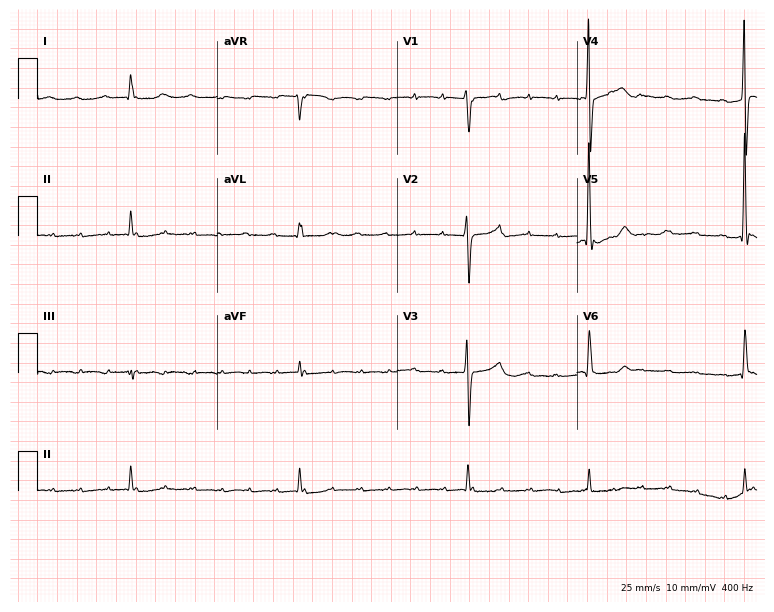
Resting 12-lead electrocardiogram. Patient: a male, 78 years old. The tracing shows atrial fibrillation.